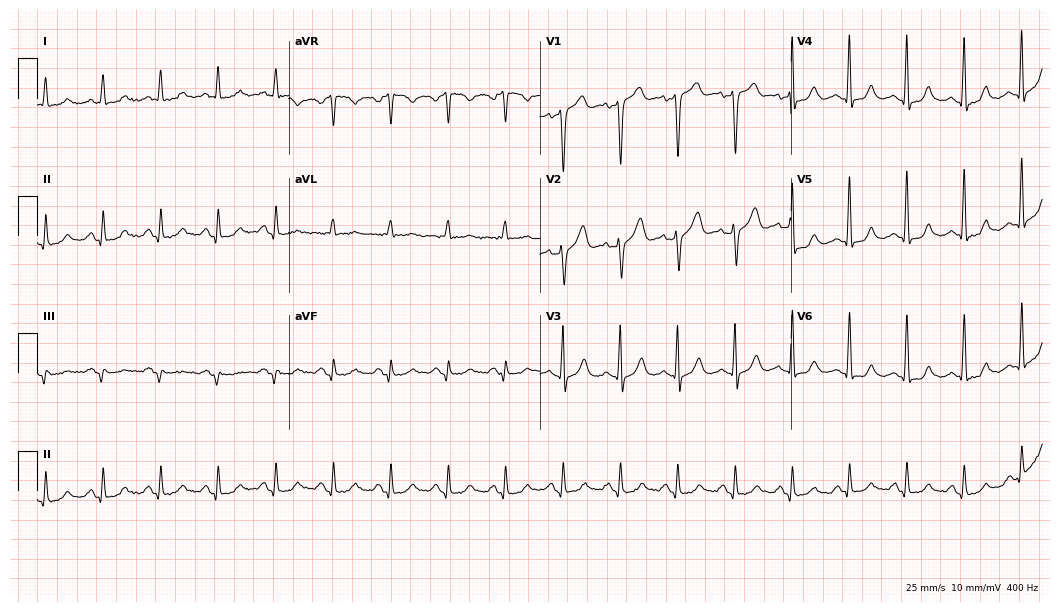
ECG (10.2-second recording at 400 Hz) — a man, 64 years old. Labelled as a normal ECG.